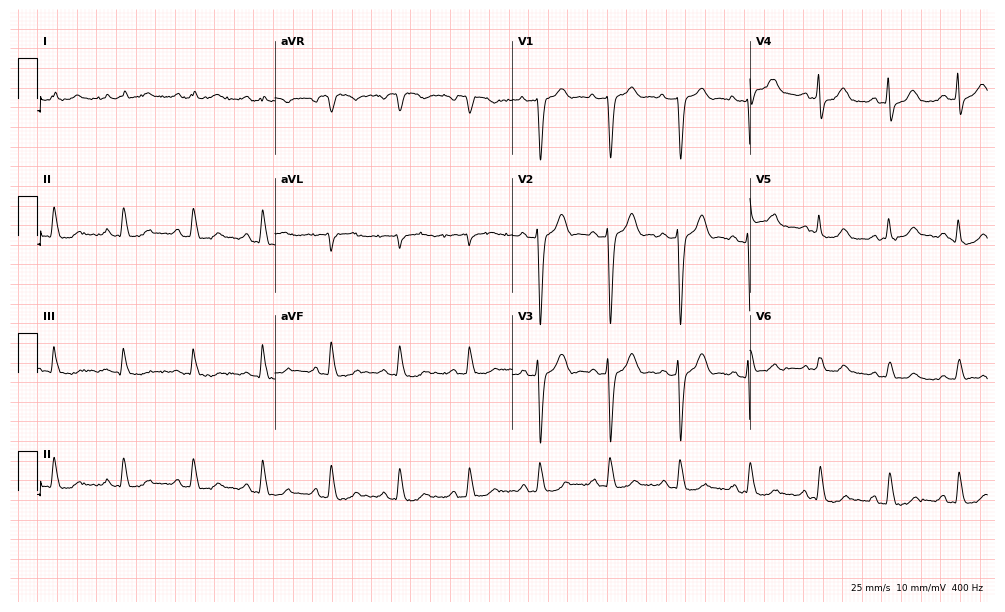
12-lead ECG from an 84-year-old male patient (9.7-second recording at 400 Hz). No first-degree AV block, right bundle branch block, left bundle branch block, sinus bradycardia, atrial fibrillation or sinus tachycardia recorded for this tracing.